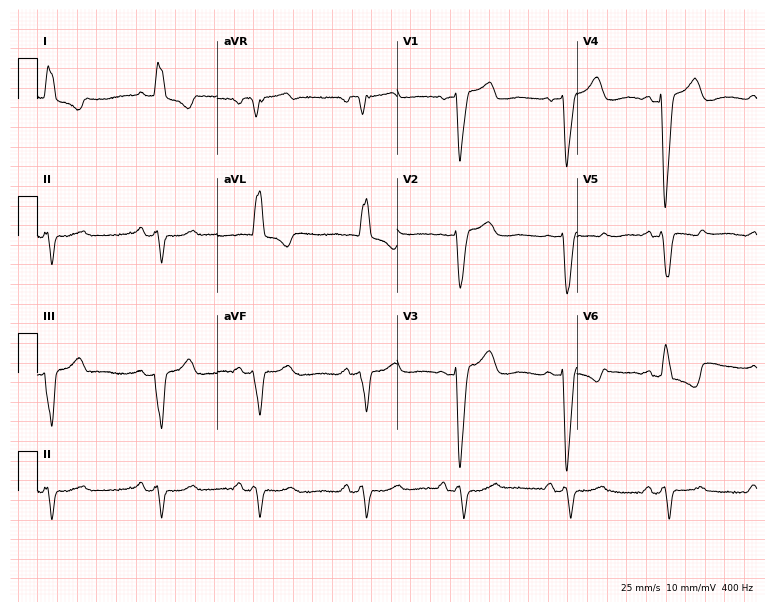
12-lead ECG (7.3-second recording at 400 Hz) from an 82-year-old female. Findings include left bundle branch block.